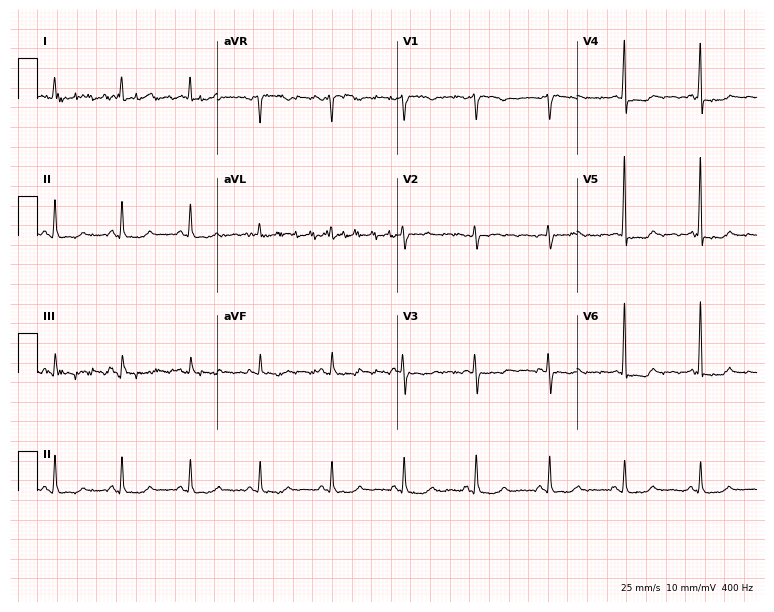
12-lead ECG from a female, 68 years old. No first-degree AV block, right bundle branch block (RBBB), left bundle branch block (LBBB), sinus bradycardia, atrial fibrillation (AF) or sinus tachycardia recorded for this tracing.